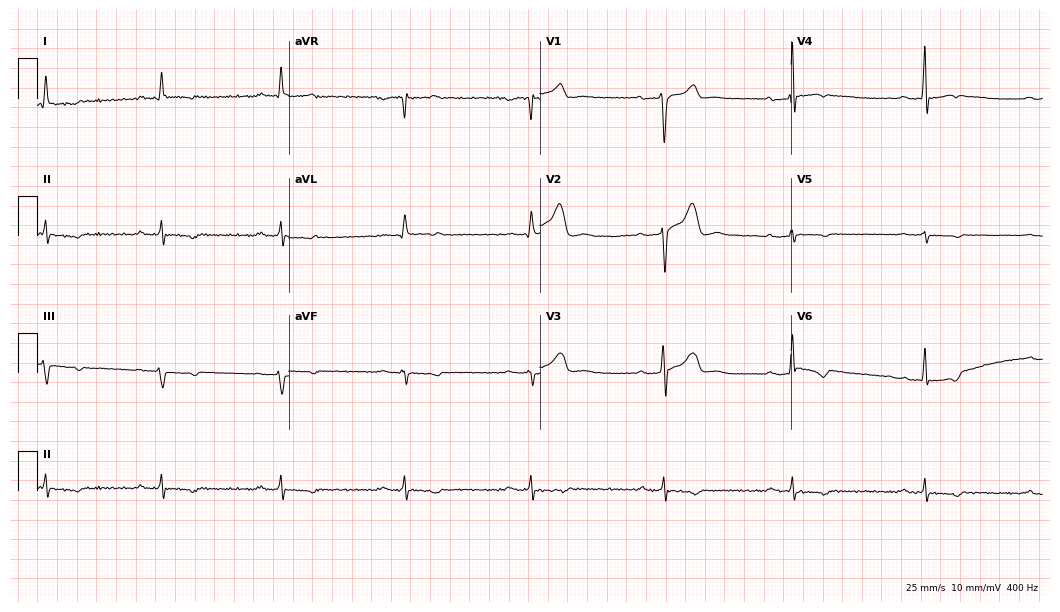
Electrocardiogram, a male, 58 years old. Interpretation includes sinus bradycardia (a sinus rate of 50 beats per minute or less).